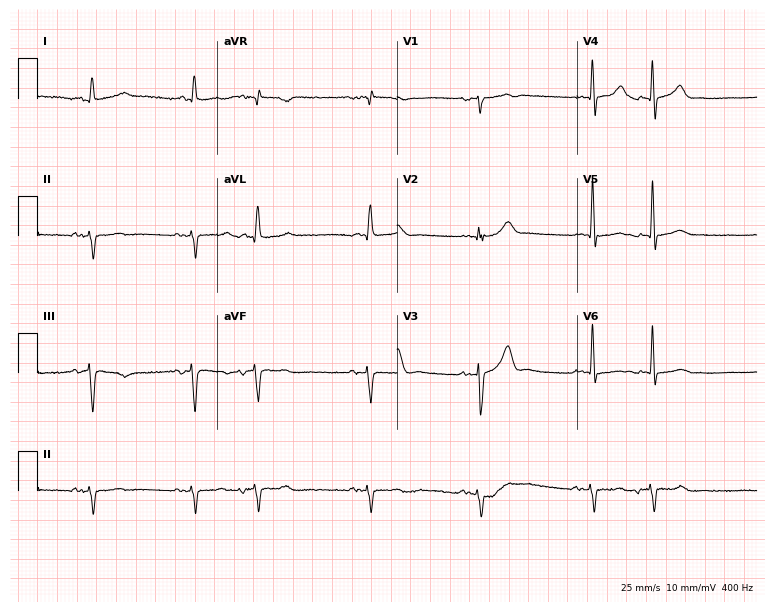
Resting 12-lead electrocardiogram (7.3-second recording at 400 Hz). Patient: a 73-year-old man. Read as a normal ECG.